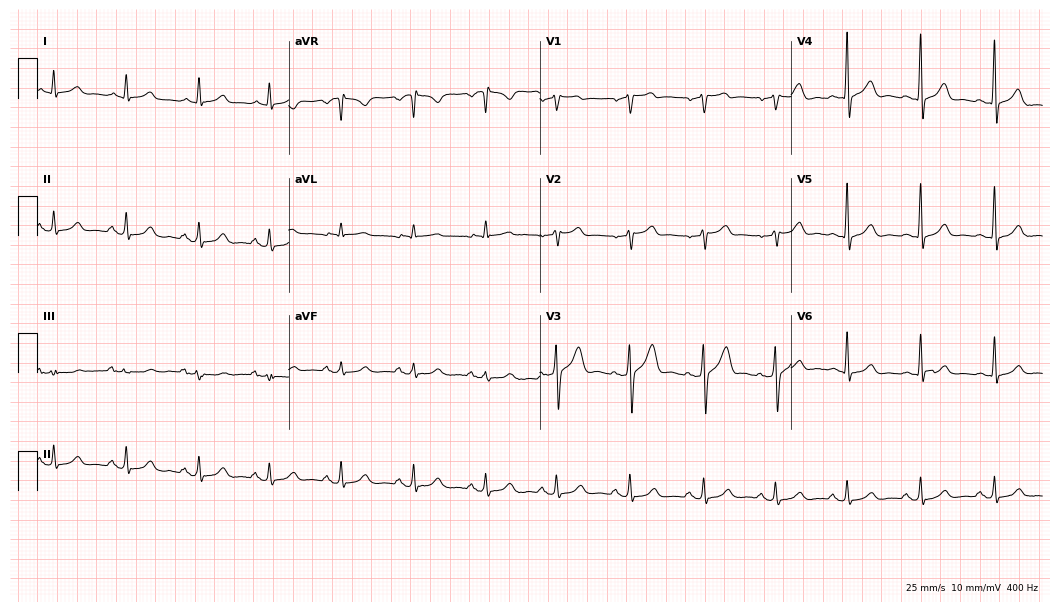
Standard 12-lead ECG recorded from a 53-year-old man (10.2-second recording at 400 Hz). Read as a normal ECG.